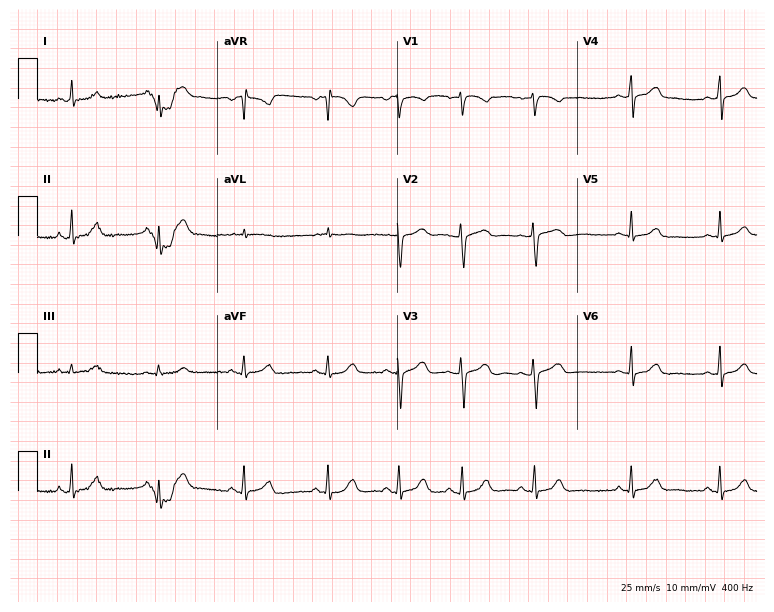
Standard 12-lead ECG recorded from a woman, 41 years old (7.3-second recording at 400 Hz). Read as a normal ECG.